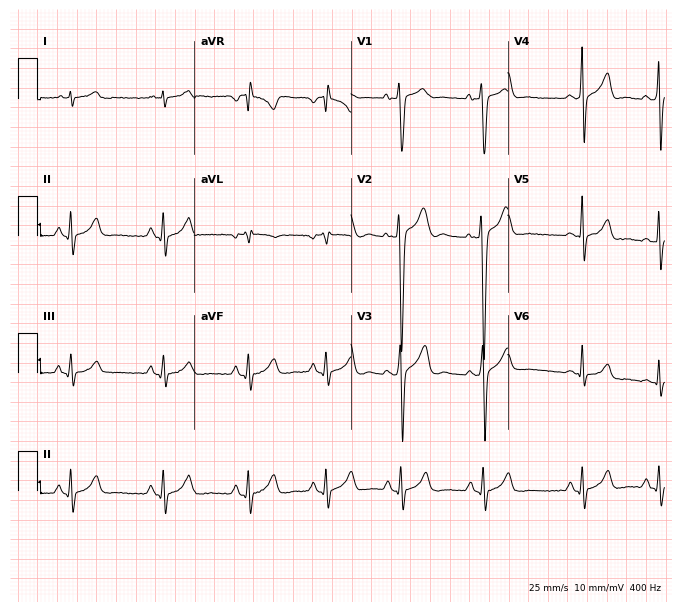
12-lead ECG from an 18-year-old male patient. Screened for six findings — first-degree AV block, right bundle branch block, left bundle branch block, sinus bradycardia, atrial fibrillation, sinus tachycardia — none is recorded.